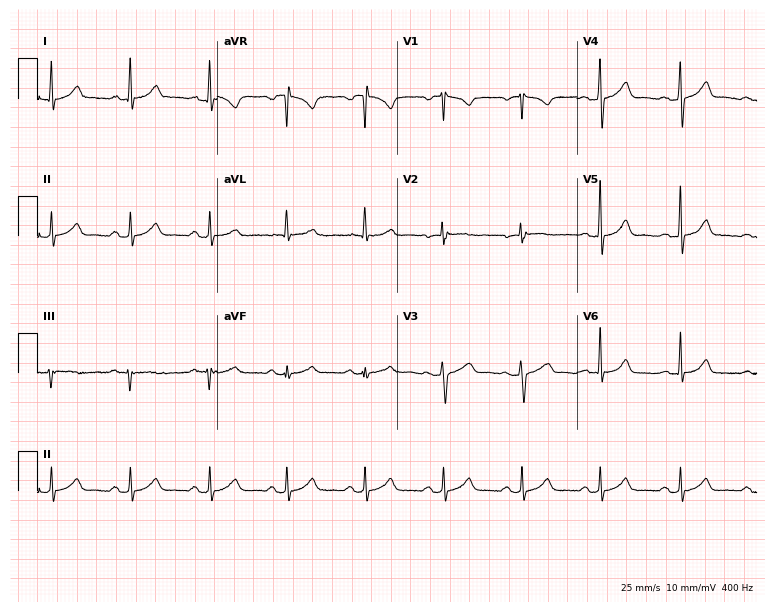
Electrocardiogram, a 44-year-old female. Overall reading on record: normal ECG.